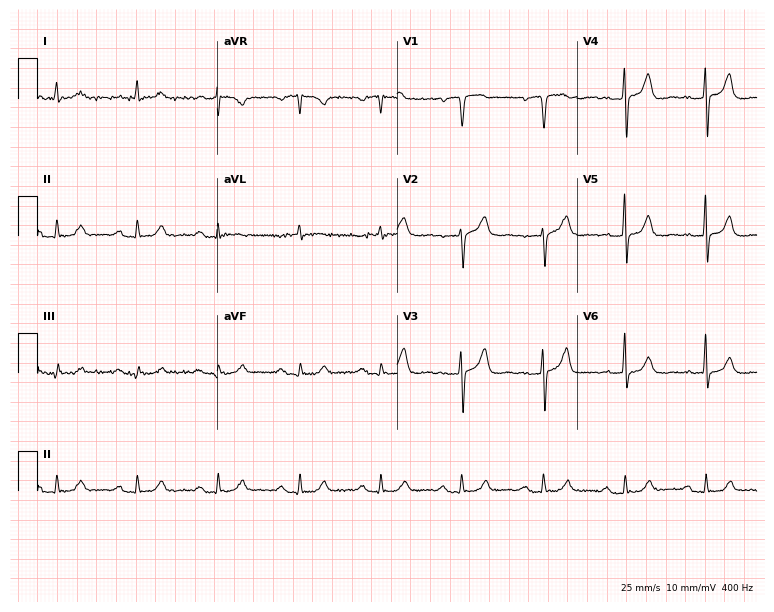
ECG — a male patient, 78 years old. Findings include first-degree AV block.